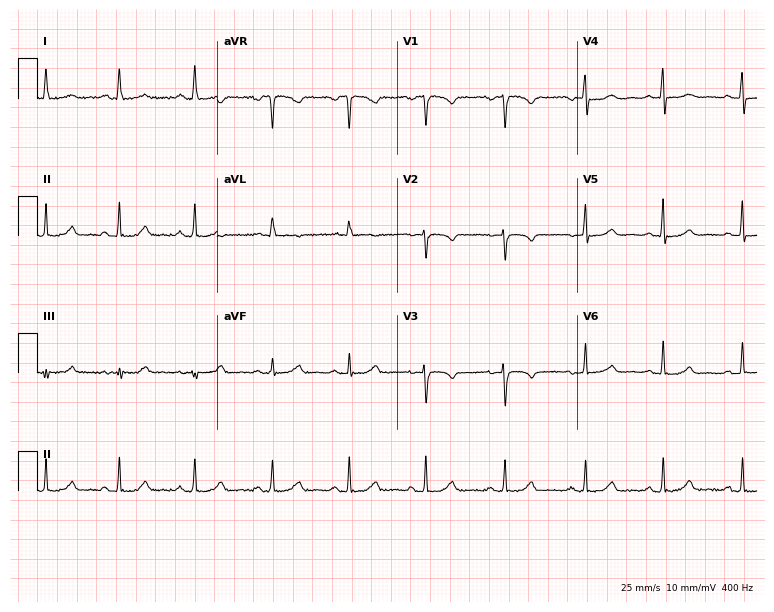
12-lead ECG from a woman, 54 years old. No first-degree AV block, right bundle branch block (RBBB), left bundle branch block (LBBB), sinus bradycardia, atrial fibrillation (AF) or sinus tachycardia recorded for this tracing.